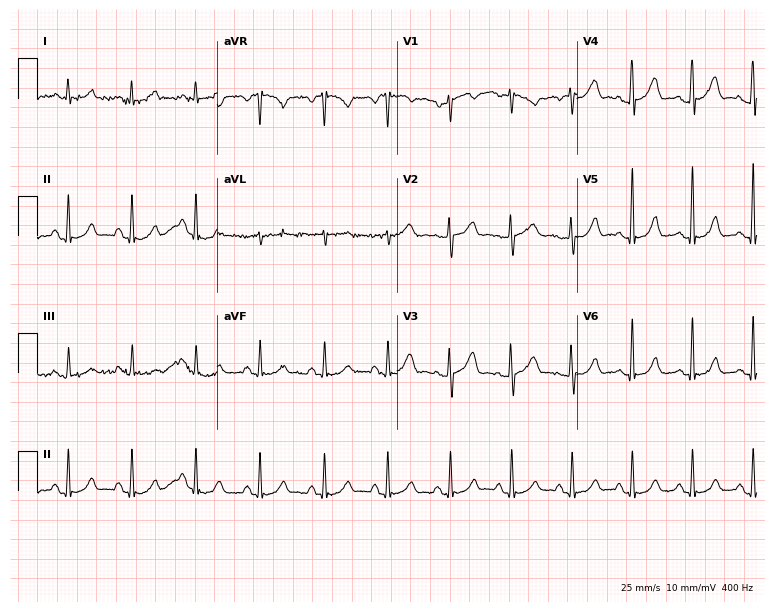
Resting 12-lead electrocardiogram. Patient: a 49-year-old female. Read as a normal ECG.